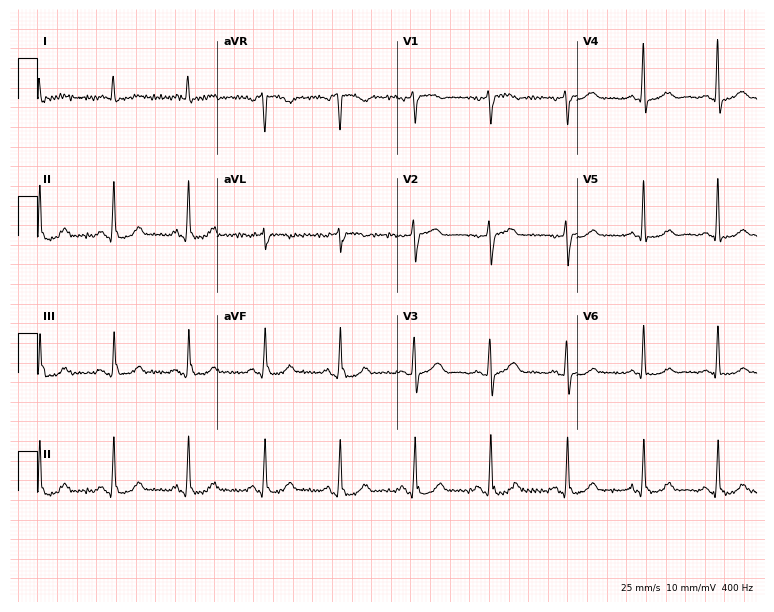
Resting 12-lead electrocardiogram. Patient: a 57-year-old woman. None of these six findings is recorded: first-degree AV block, right bundle branch block, left bundle branch block, sinus bradycardia, atrial fibrillation, sinus tachycardia.